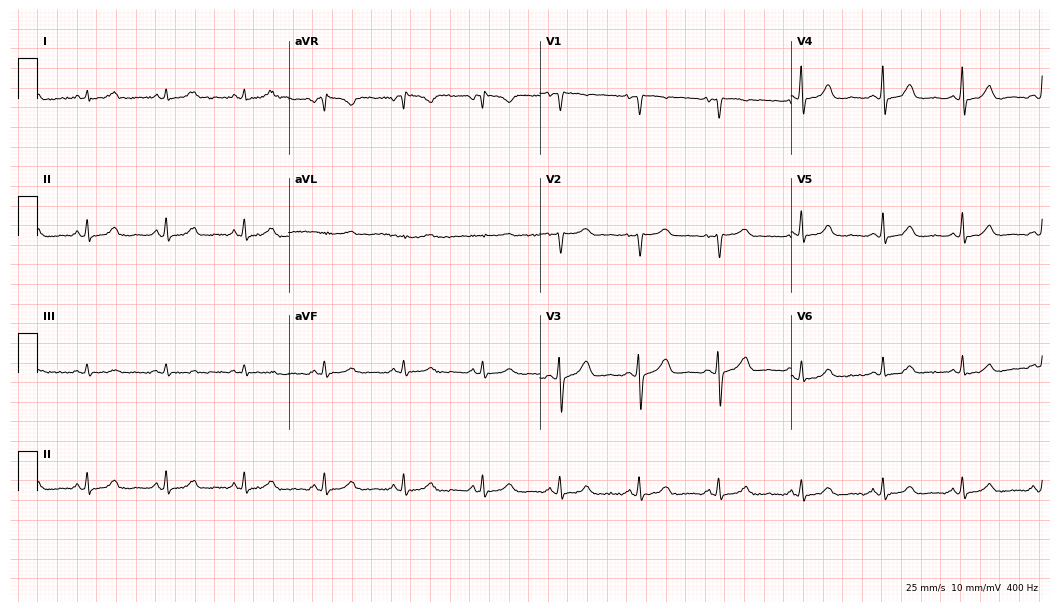
Resting 12-lead electrocardiogram. Patient: a 46-year-old woman. None of these six findings is recorded: first-degree AV block, right bundle branch block (RBBB), left bundle branch block (LBBB), sinus bradycardia, atrial fibrillation (AF), sinus tachycardia. Only these six findings were labelled.